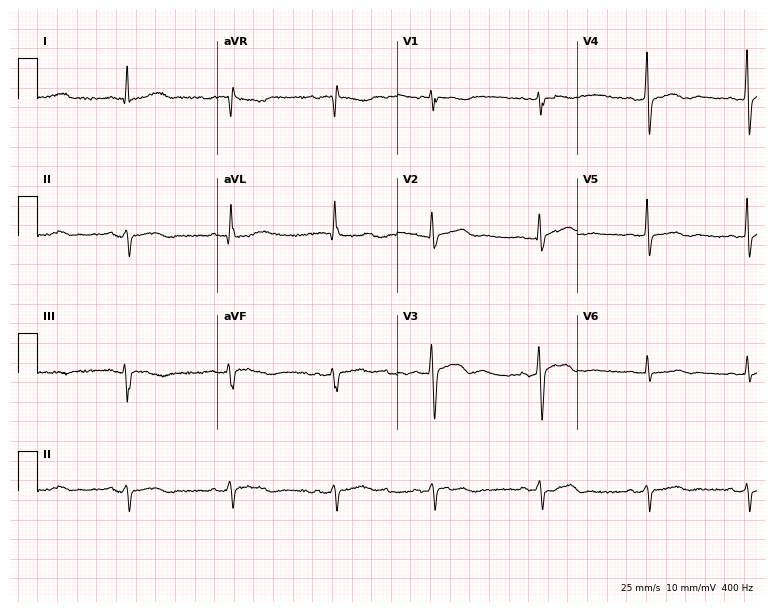
Resting 12-lead electrocardiogram (7.3-second recording at 400 Hz). Patient: a male, 40 years old. None of these six findings is recorded: first-degree AV block, right bundle branch block, left bundle branch block, sinus bradycardia, atrial fibrillation, sinus tachycardia.